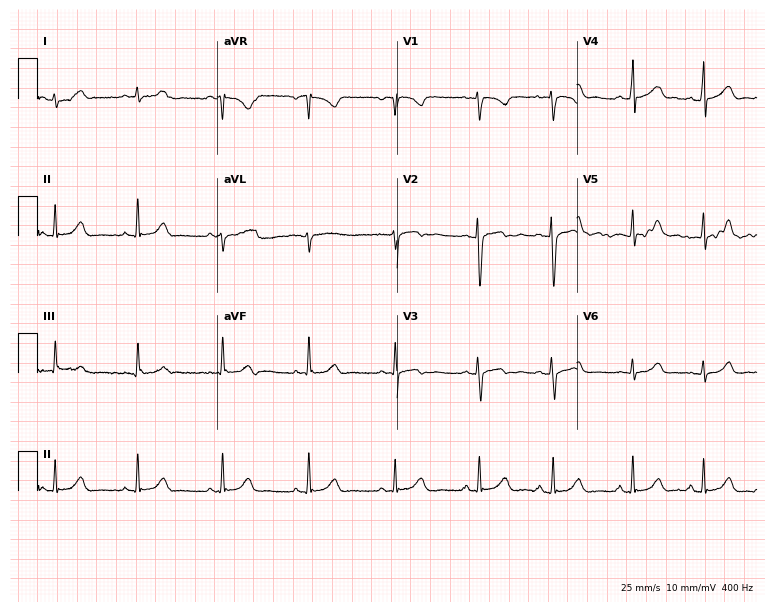
12-lead ECG from a 17-year-old female patient (7.3-second recording at 400 Hz). No first-degree AV block, right bundle branch block, left bundle branch block, sinus bradycardia, atrial fibrillation or sinus tachycardia recorded for this tracing.